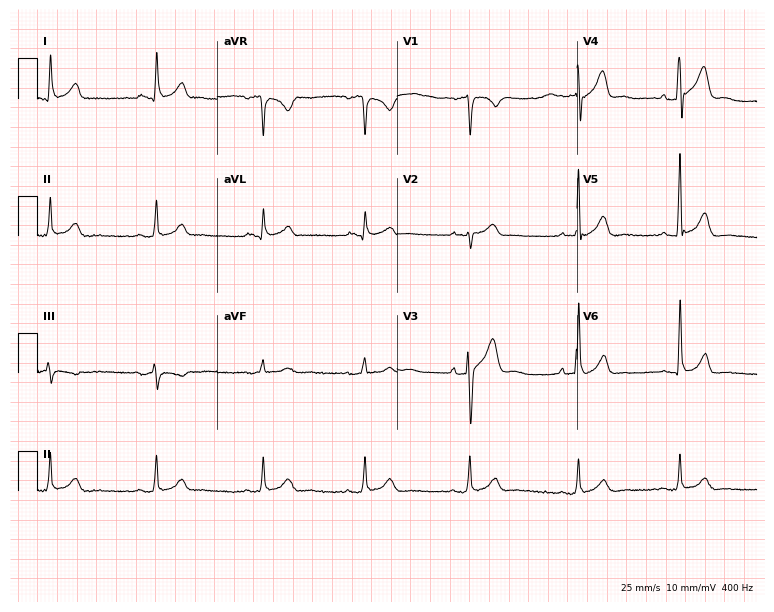
Electrocardiogram, a 62-year-old male patient. Of the six screened findings (first-degree AV block, right bundle branch block, left bundle branch block, sinus bradycardia, atrial fibrillation, sinus tachycardia), none is recorded. Only these six findings were labelled.